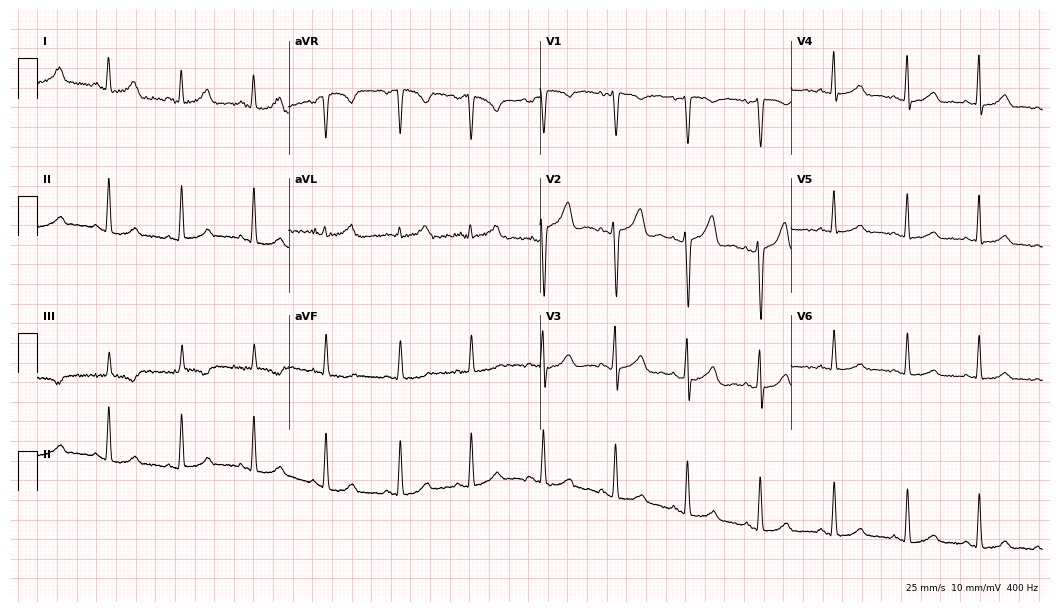
ECG (10.2-second recording at 400 Hz) — a female patient, 42 years old. Labelled as a normal ECG.